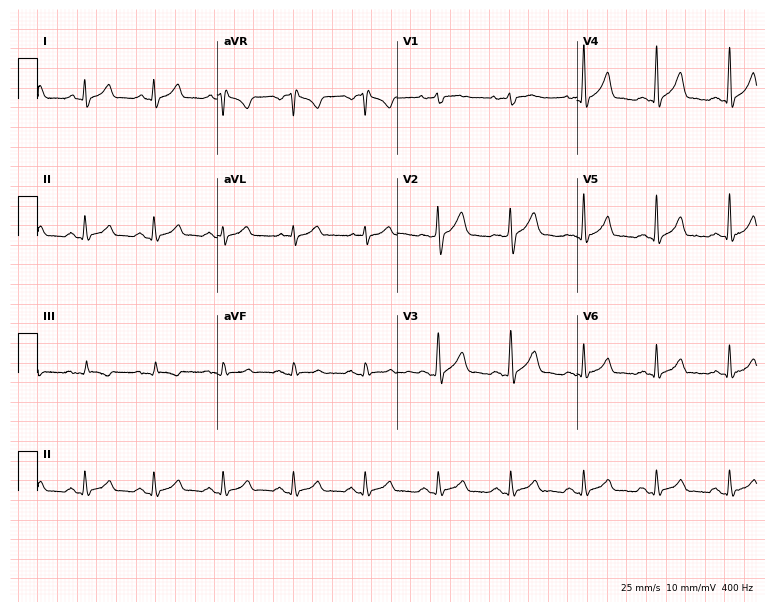
Standard 12-lead ECG recorded from a male, 37 years old. Read as a normal ECG.